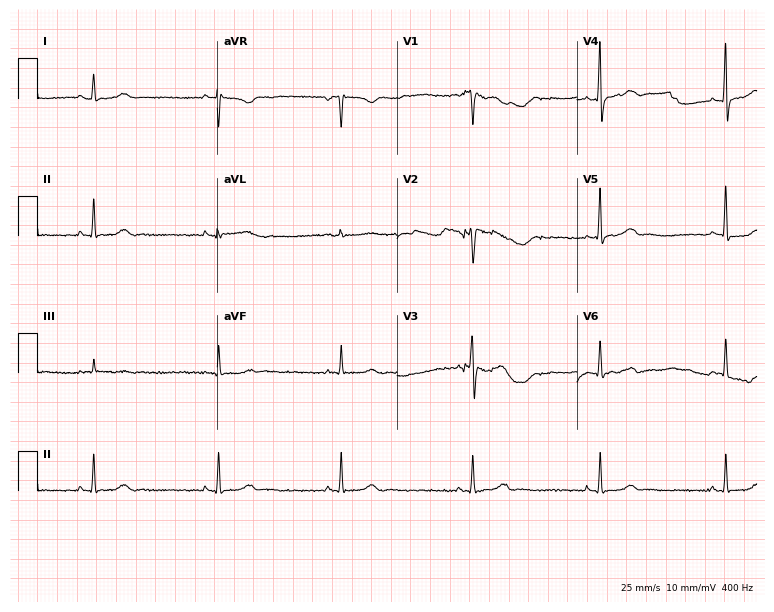
ECG (7.3-second recording at 400 Hz) — a female, 36 years old. Screened for six findings — first-degree AV block, right bundle branch block (RBBB), left bundle branch block (LBBB), sinus bradycardia, atrial fibrillation (AF), sinus tachycardia — none is recorded. Other findings, if any, are not listed.